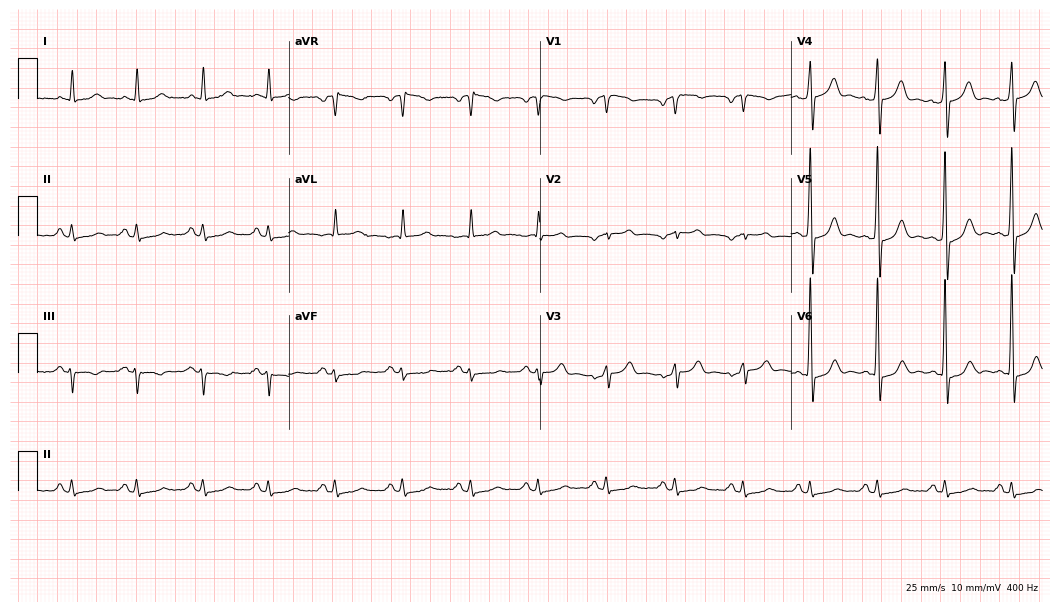
Electrocardiogram, a male patient, 65 years old. Overall reading on record: normal ECG.